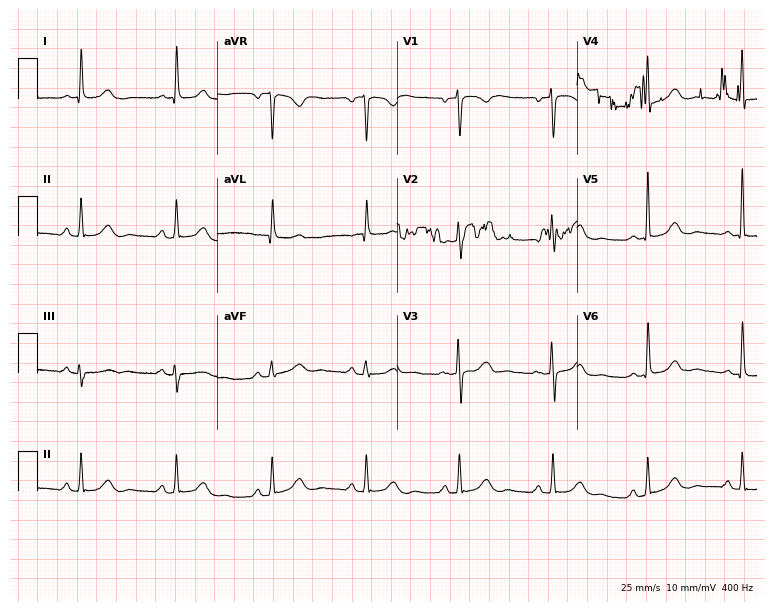
Electrocardiogram, a female, 71 years old. Overall reading on record: normal ECG.